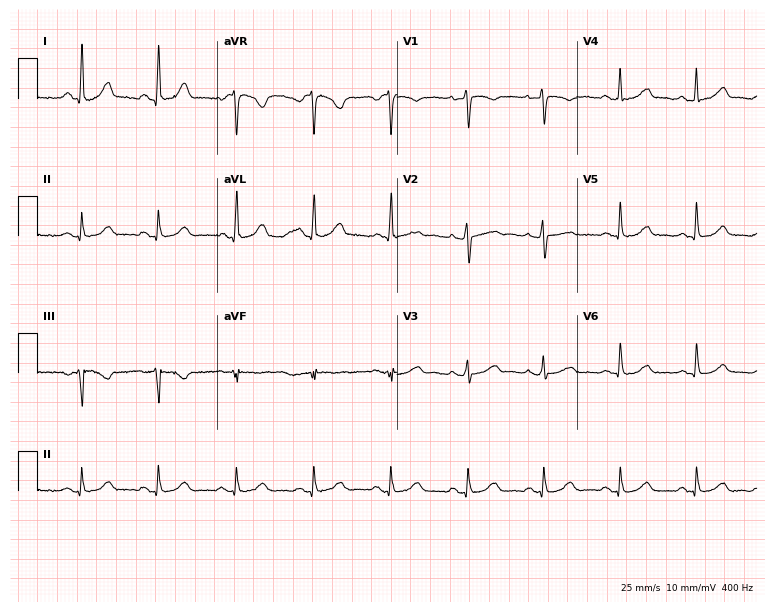
12-lead ECG (7.3-second recording at 400 Hz) from a 46-year-old woman. Screened for six findings — first-degree AV block, right bundle branch block (RBBB), left bundle branch block (LBBB), sinus bradycardia, atrial fibrillation (AF), sinus tachycardia — none is recorded.